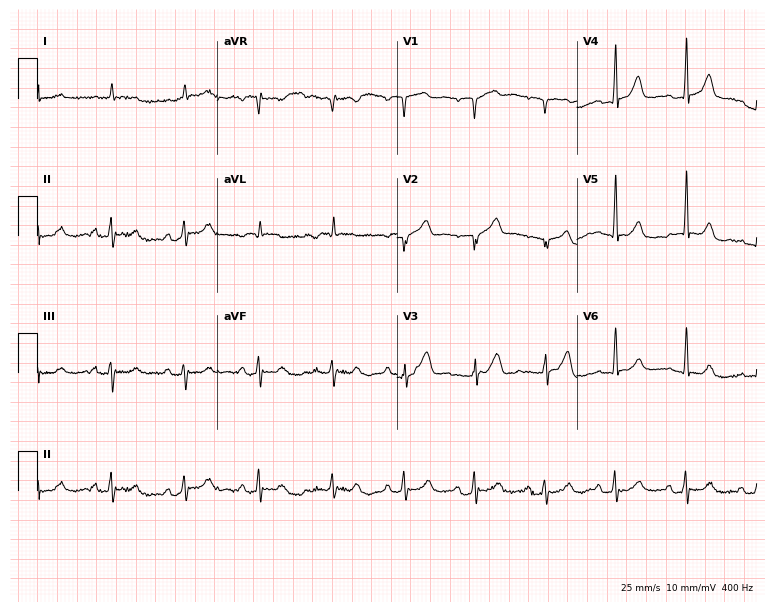
12-lead ECG (7.3-second recording at 400 Hz) from a male patient, 73 years old. Labelled as a normal ECG.